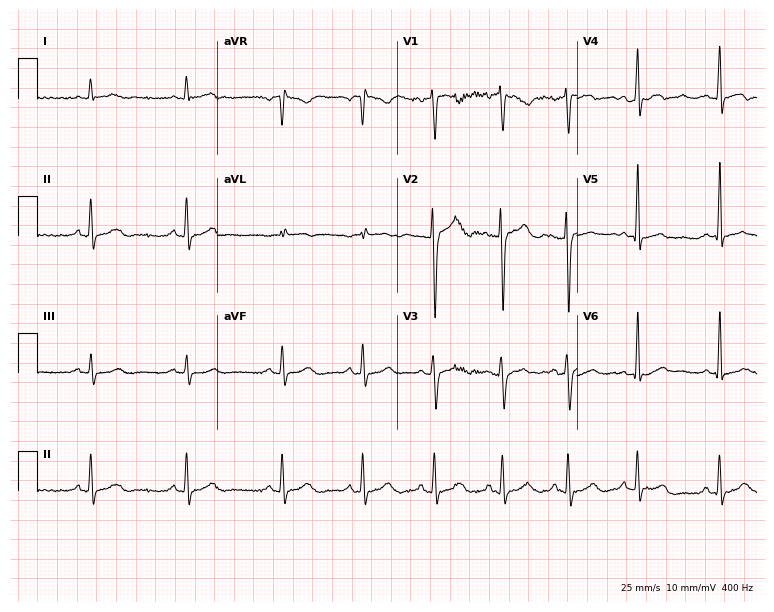
Standard 12-lead ECG recorded from a man, 39 years old (7.3-second recording at 400 Hz). None of these six findings is recorded: first-degree AV block, right bundle branch block, left bundle branch block, sinus bradycardia, atrial fibrillation, sinus tachycardia.